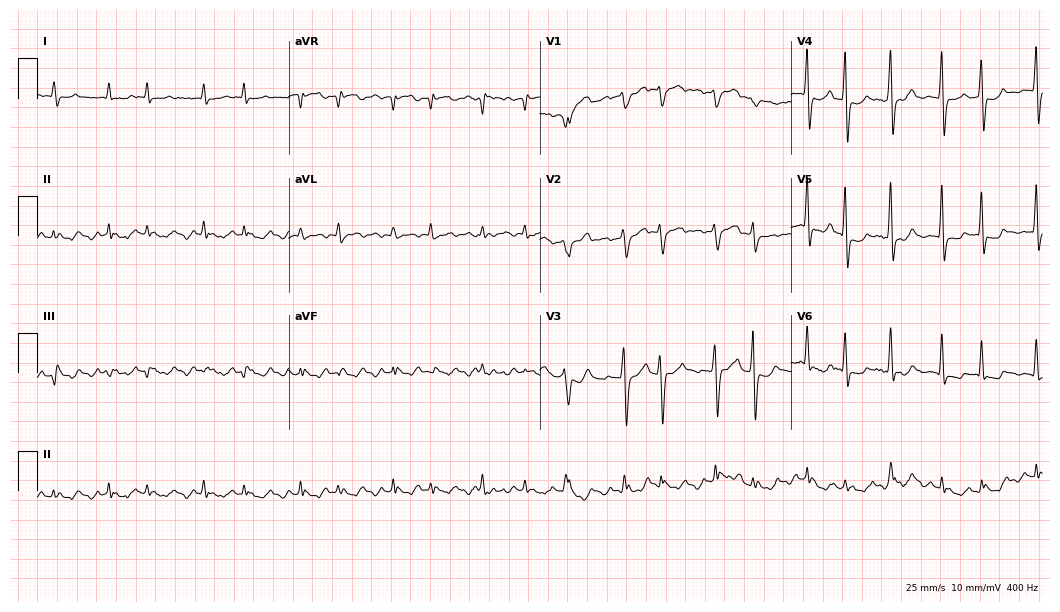
12-lead ECG from a male patient, 78 years old. Findings include atrial fibrillation.